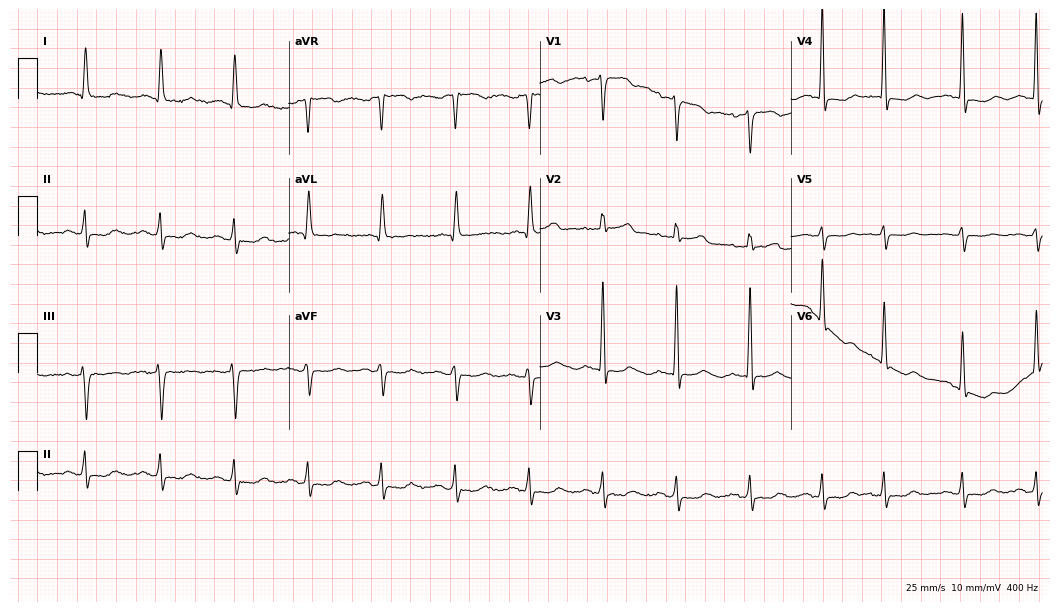
12-lead ECG from an 84-year-old female. Recorded interpretation: within normal limits.